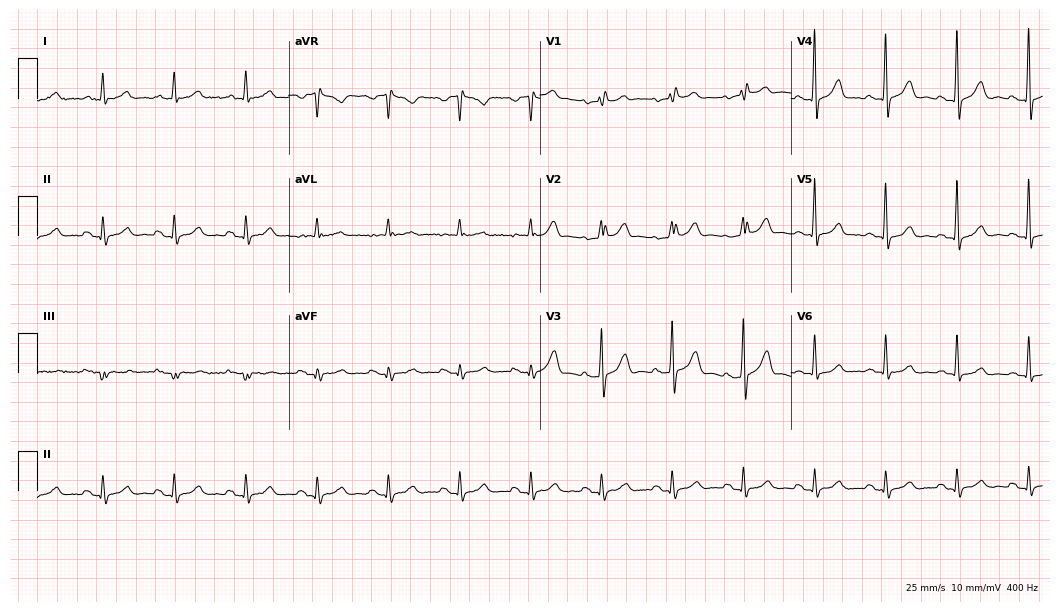
Electrocardiogram, a 69-year-old male patient. Of the six screened findings (first-degree AV block, right bundle branch block, left bundle branch block, sinus bradycardia, atrial fibrillation, sinus tachycardia), none is recorded. Findings outside these six are not listed.